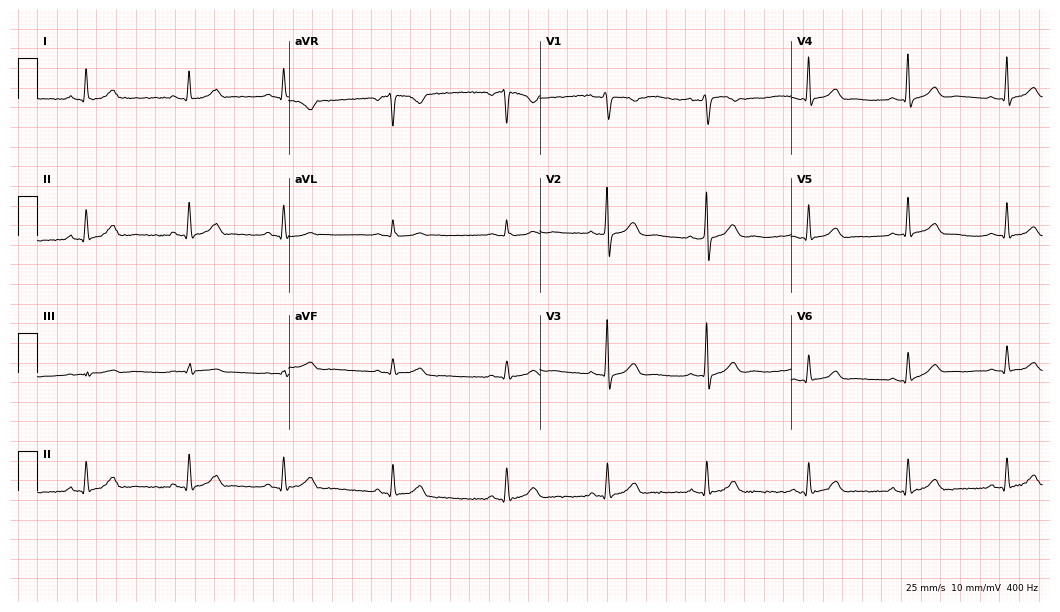
Standard 12-lead ECG recorded from a 44-year-old man. Read as a normal ECG.